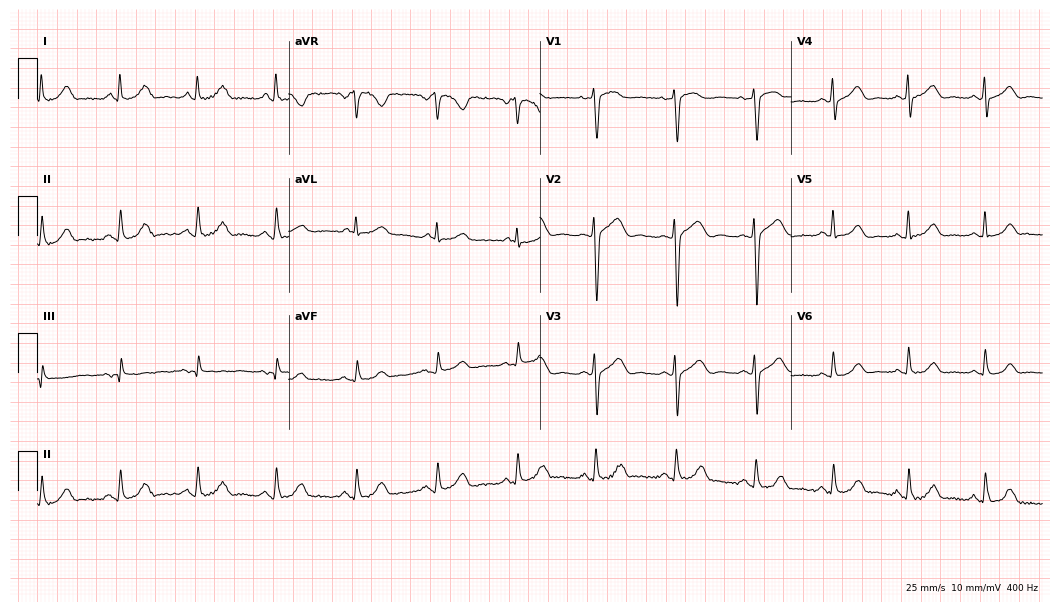
12-lead ECG (10.2-second recording at 400 Hz) from a 53-year-old woman. Screened for six findings — first-degree AV block, right bundle branch block, left bundle branch block, sinus bradycardia, atrial fibrillation, sinus tachycardia — none is recorded.